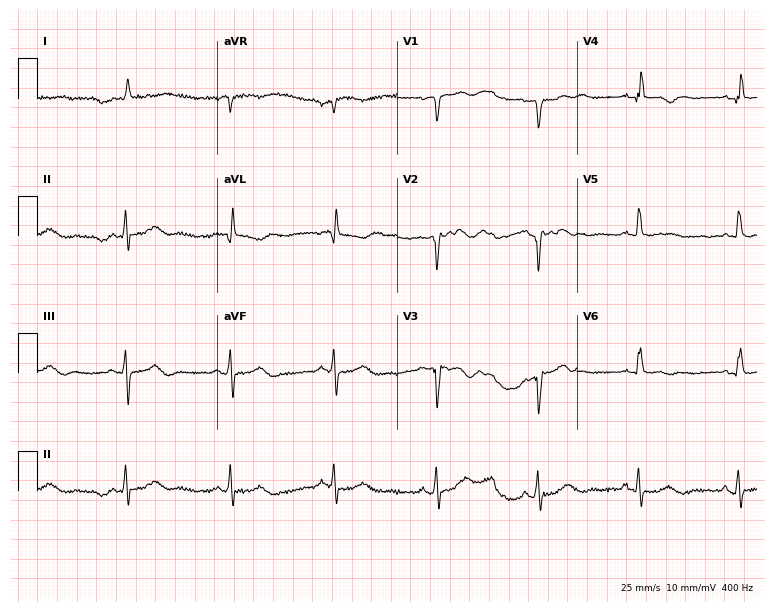
Standard 12-lead ECG recorded from a male, 84 years old. None of these six findings is recorded: first-degree AV block, right bundle branch block, left bundle branch block, sinus bradycardia, atrial fibrillation, sinus tachycardia.